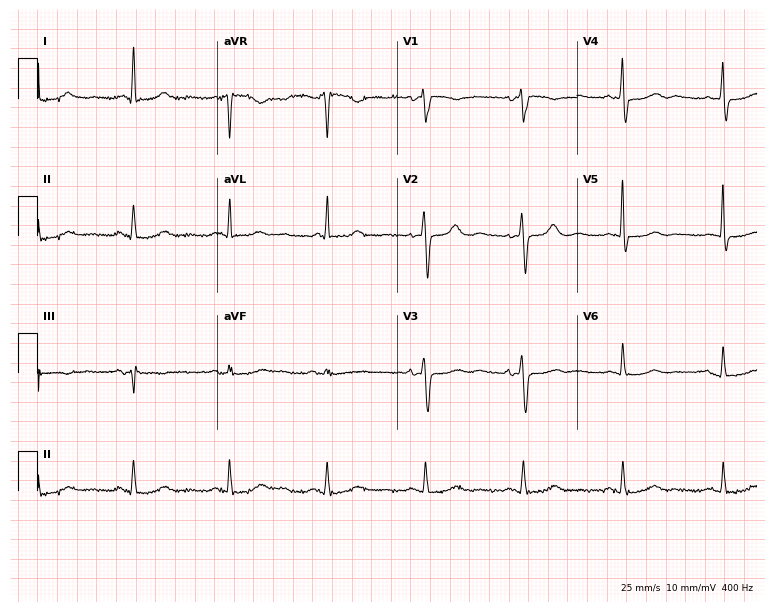
Standard 12-lead ECG recorded from a 75-year-old female patient. None of these six findings is recorded: first-degree AV block, right bundle branch block (RBBB), left bundle branch block (LBBB), sinus bradycardia, atrial fibrillation (AF), sinus tachycardia. Other findings, if any, are not listed.